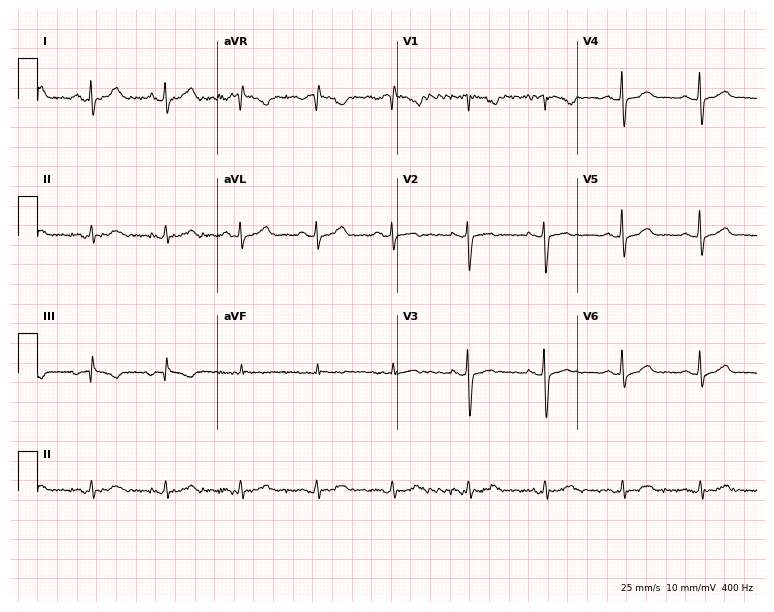
12-lead ECG from a 53-year-old female. Labelled as a normal ECG.